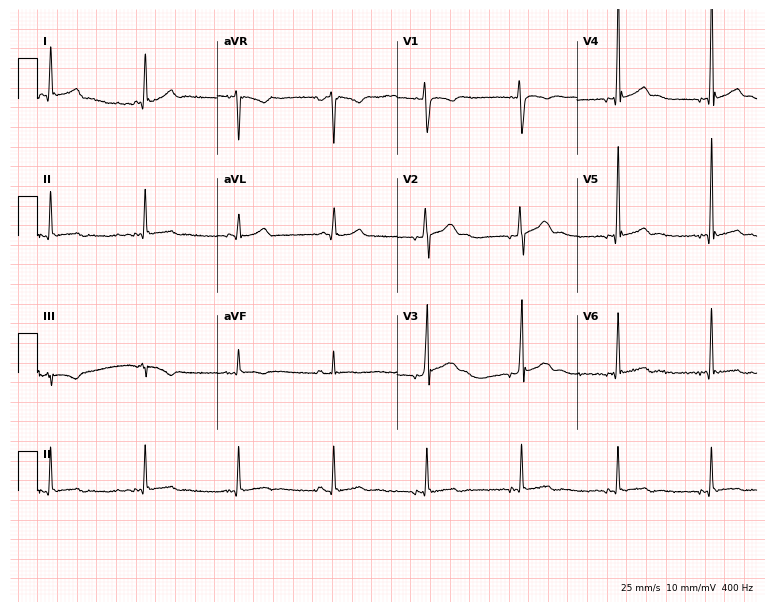
12-lead ECG from a 24-year-old male. Recorded interpretation: within normal limits.